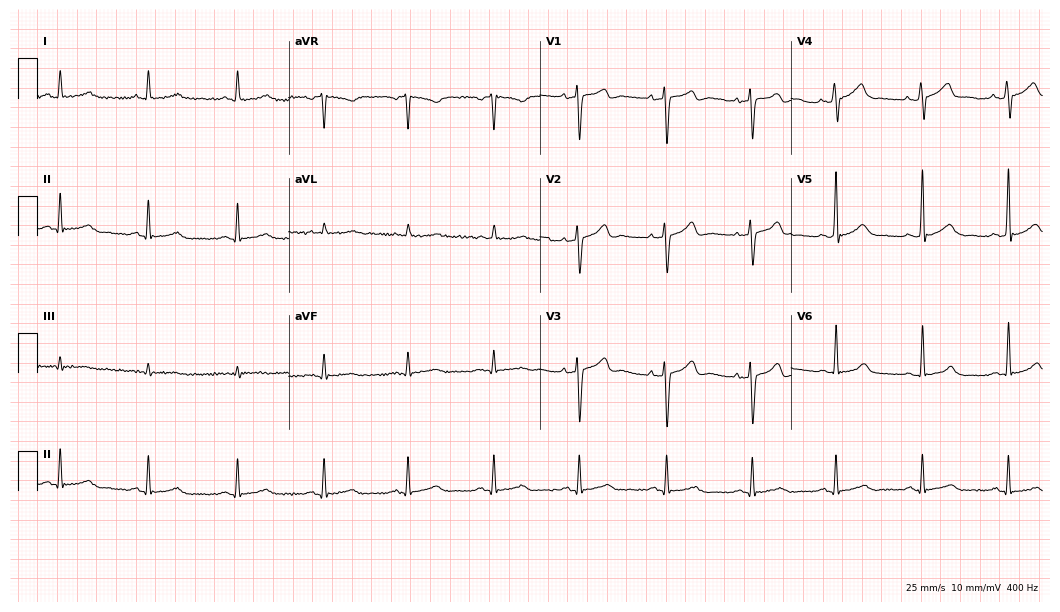
ECG (10.2-second recording at 400 Hz) — a 51-year-old female patient. Labelled as a normal ECG.